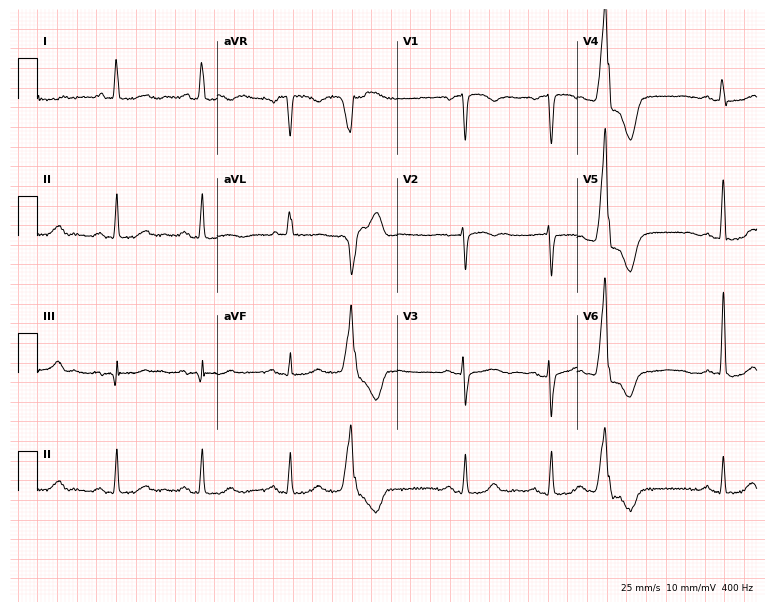
Standard 12-lead ECG recorded from a 64-year-old woman. None of these six findings is recorded: first-degree AV block, right bundle branch block, left bundle branch block, sinus bradycardia, atrial fibrillation, sinus tachycardia.